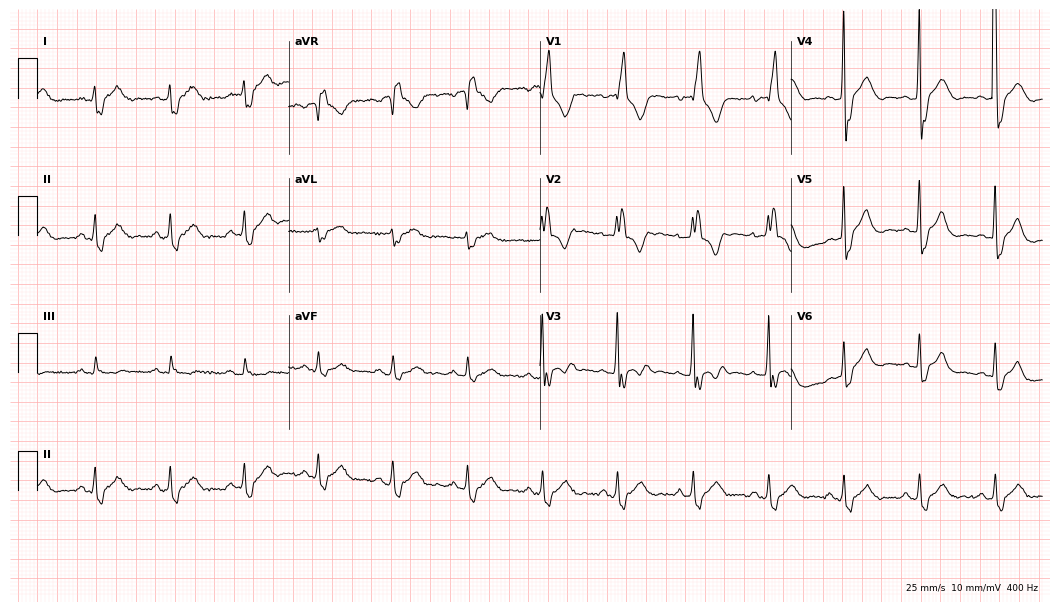
12-lead ECG from a 45-year-old male. Findings include right bundle branch block.